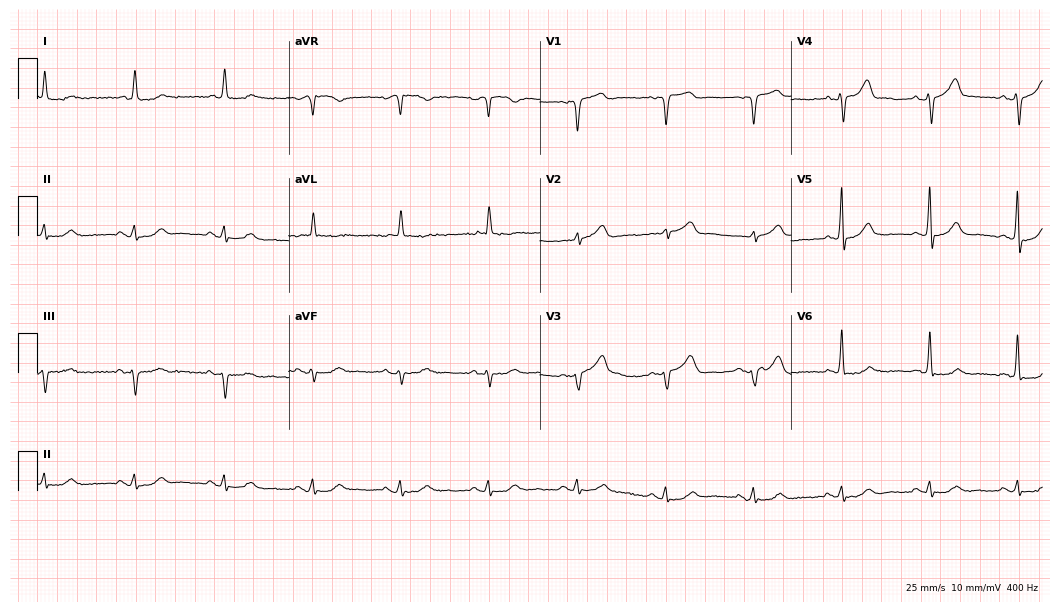
Resting 12-lead electrocardiogram (10.2-second recording at 400 Hz). Patient: a male, 81 years old. Read as a normal ECG.